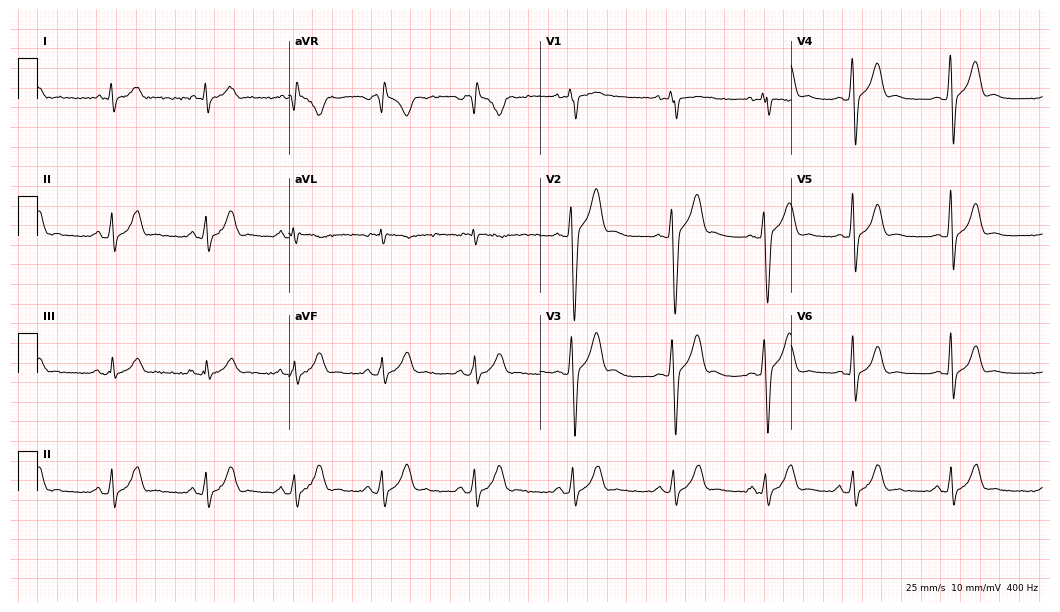
12-lead ECG from a 20-year-old man (10.2-second recording at 400 Hz). No first-degree AV block, right bundle branch block (RBBB), left bundle branch block (LBBB), sinus bradycardia, atrial fibrillation (AF) or sinus tachycardia recorded for this tracing.